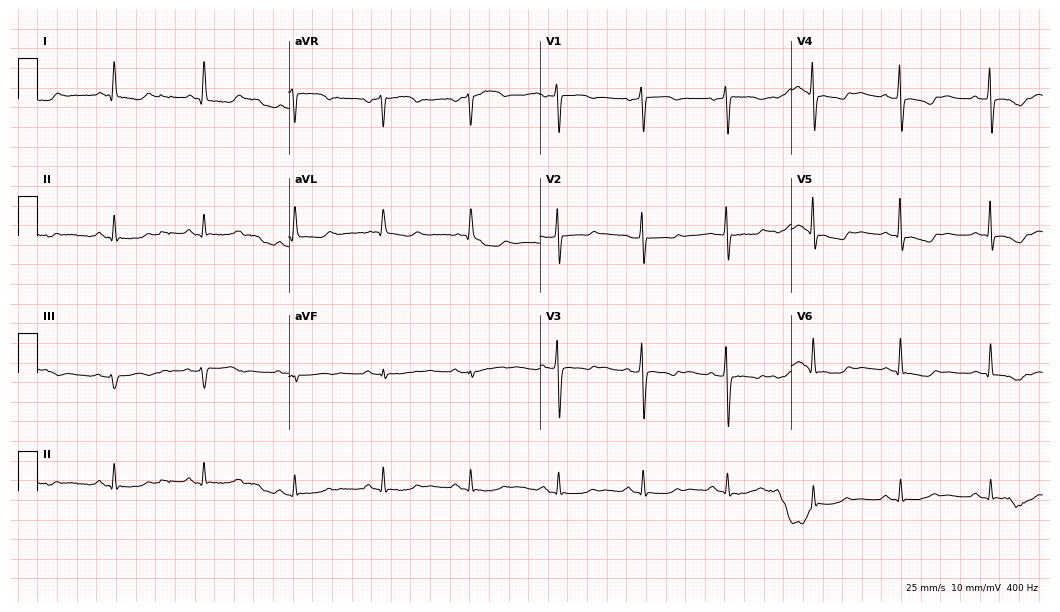
12-lead ECG from a female, 51 years old (10.2-second recording at 400 Hz). No first-degree AV block, right bundle branch block, left bundle branch block, sinus bradycardia, atrial fibrillation or sinus tachycardia recorded for this tracing. Only these six findings were labelled.